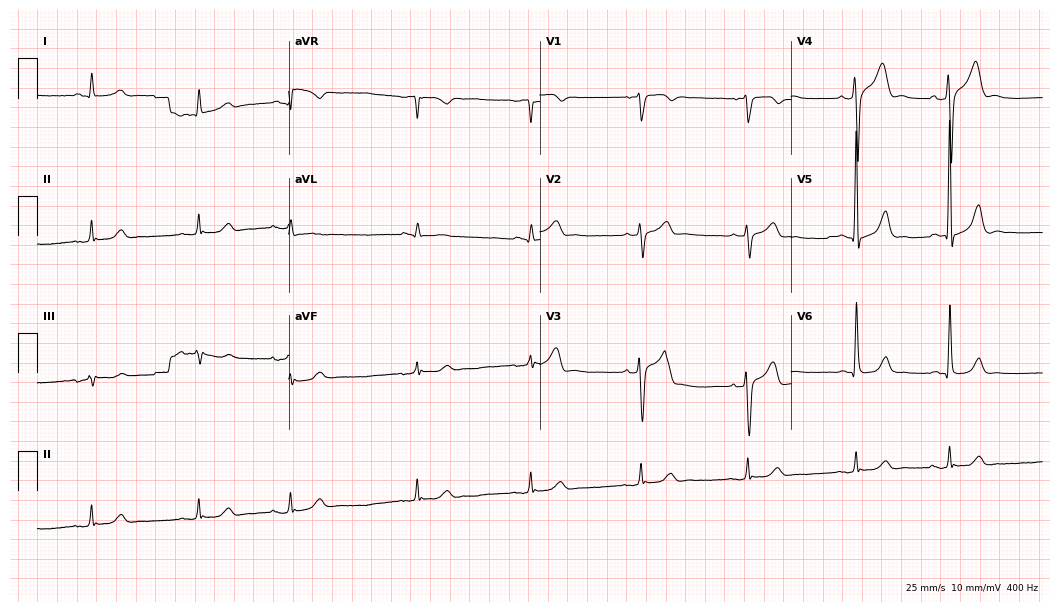
Resting 12-lead electrocardiogram (10.2-second recording at 400 Hz). Patient: a 75-year-old man. Read as a normal ECG.